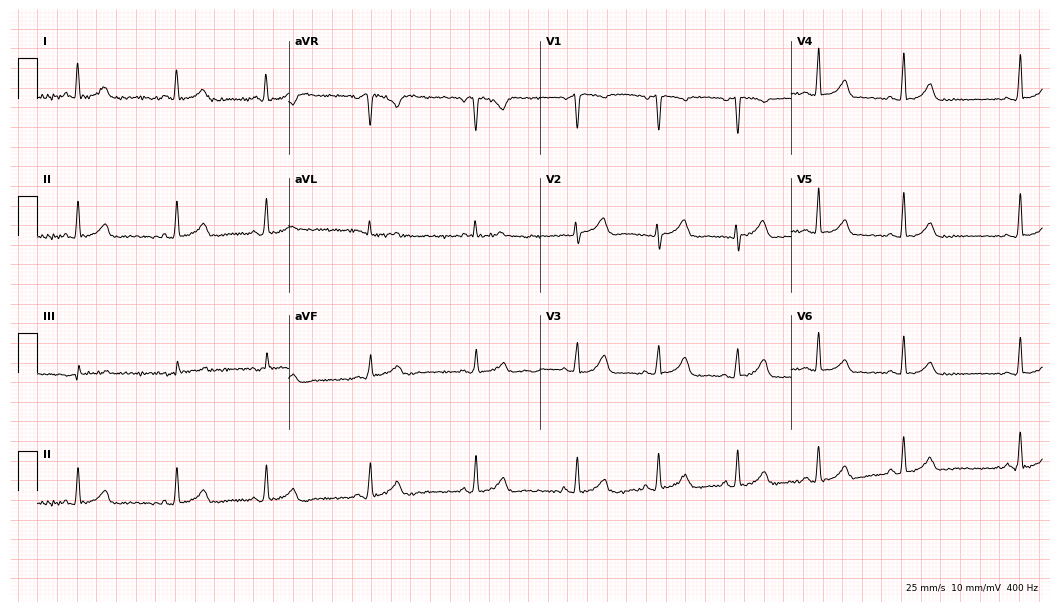
Electrocardiogram (10.2-second recording at 400 Hz), a 63-year-old female. Overall reading on record: normal ECG.